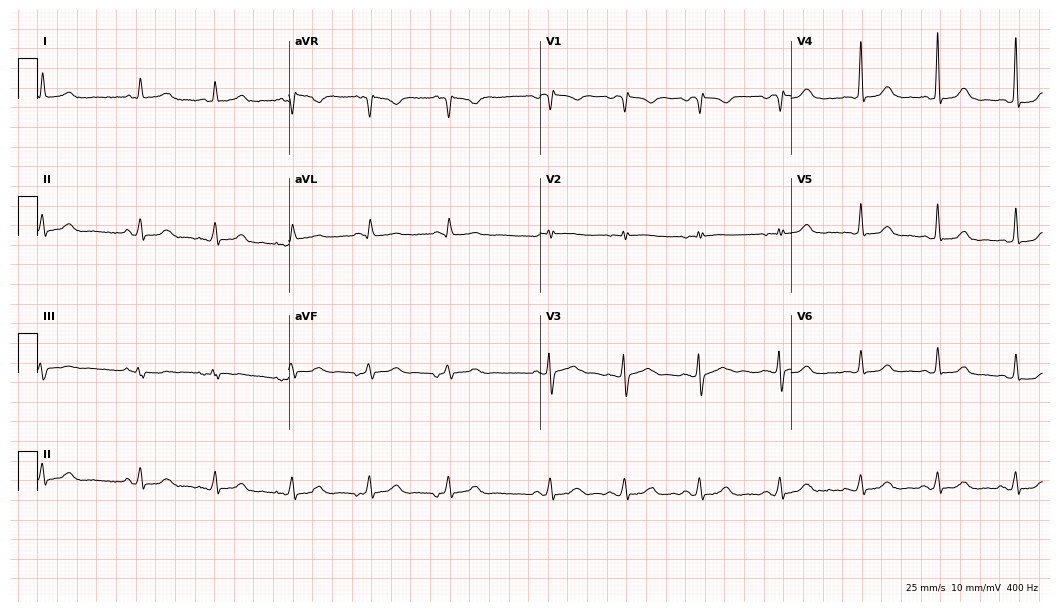
Resting 12-lead electrocardiogram (10.2-second recording at 400 Hz). Patient: a female, 41 years old. Read as a normal ECG.